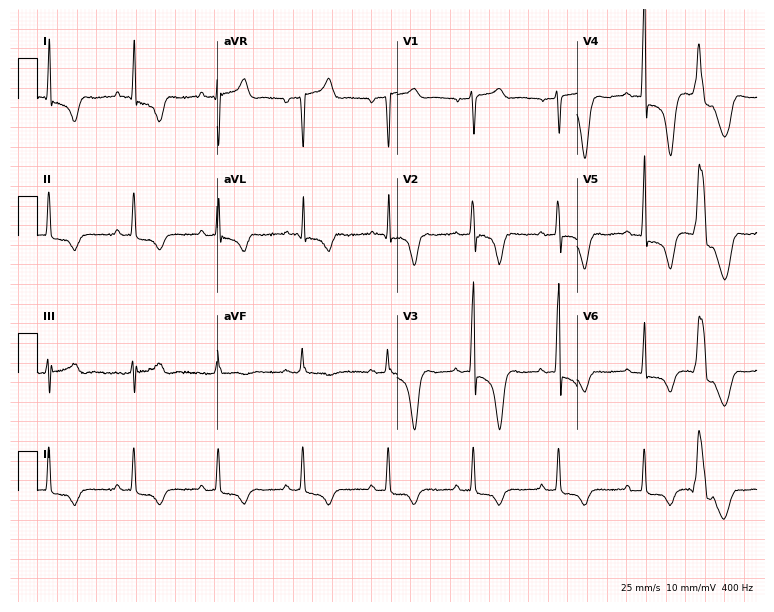
Resting 12-lead electrocardiogram (7.3-second recording at 400 Hz). Patient: a 66-year-old man. None of these six findings is recorded: first-degree AV block, right bundle branch block, left bundle branch block, sinus bradycardia, atrial fibrillation, sinus tachycardia. Findings outside these six are not listed.